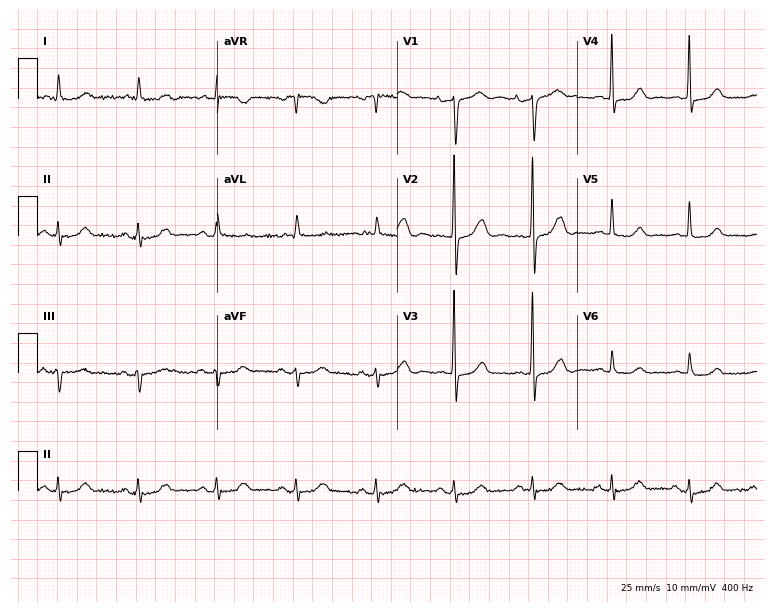
12-lead ECG from a woman, 85 years old (7.3-second recording at 400 Hz). No first-degree AV block, right bundle branch block (RBBB), left bundle branch block (LBBB), sinus bradycardia, atrial fibrillation (AF) or sinus tachycardia recorded for this tracing. Findings outside these six are not listed.